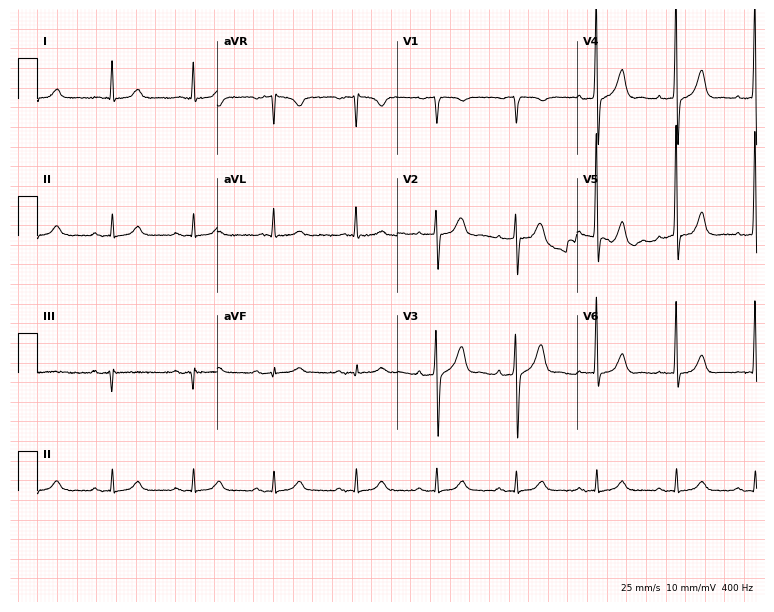
12-lead ECG (7.3-second recording at 400 Hz) from a male, 75 years old. Labelled as a normal ECG.